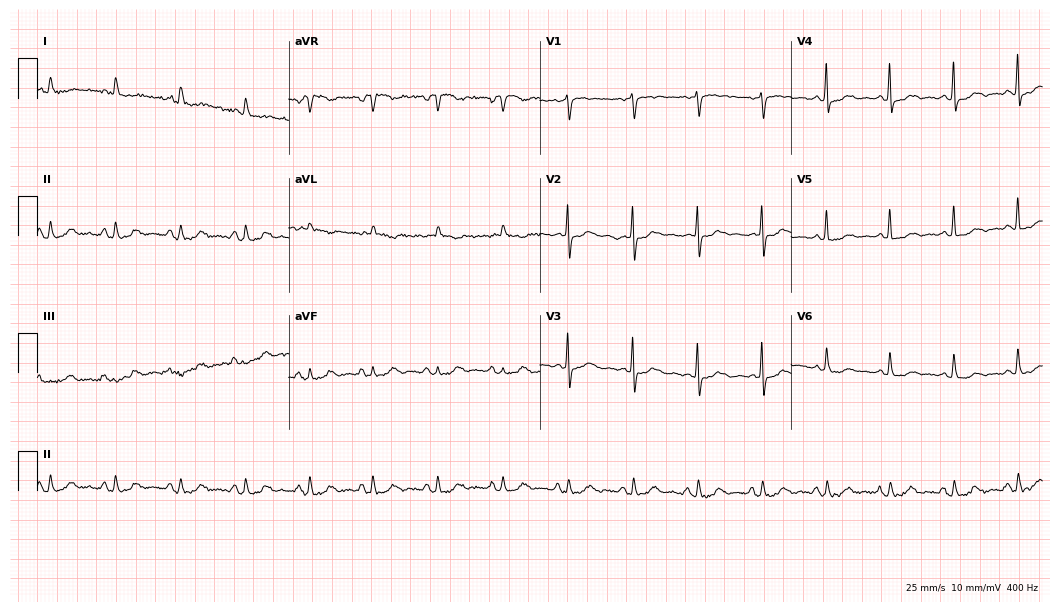
Electrocardiogram (10.2-second recording at 400 Hz), a female patient, 71 years old. Overall reading on record: normal ECG.